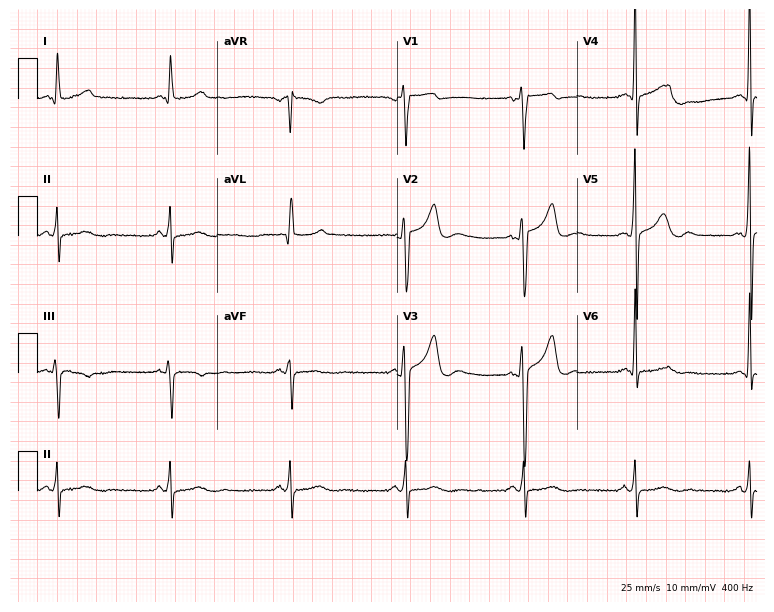
12-lead ECG from a 51-year-old man. Labelled as a normal ECG.